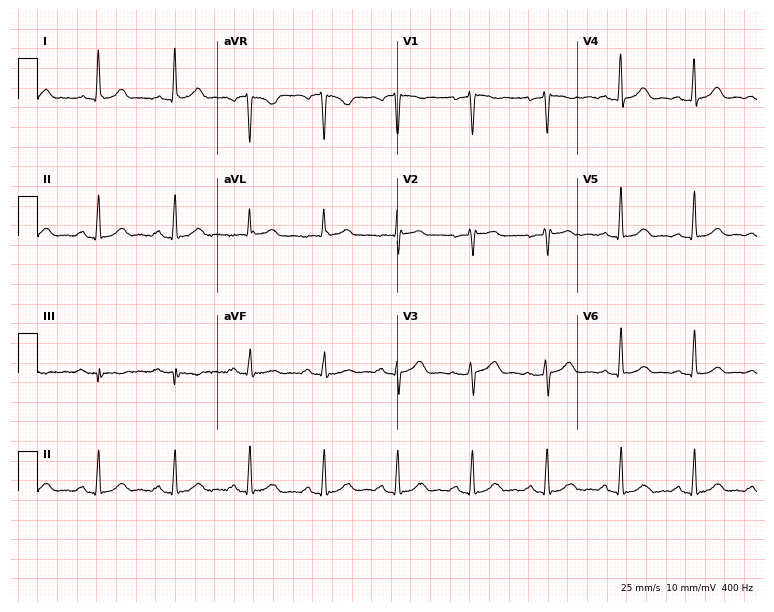
ECG — a female, 58 years old. Labelled as a normal ECG.